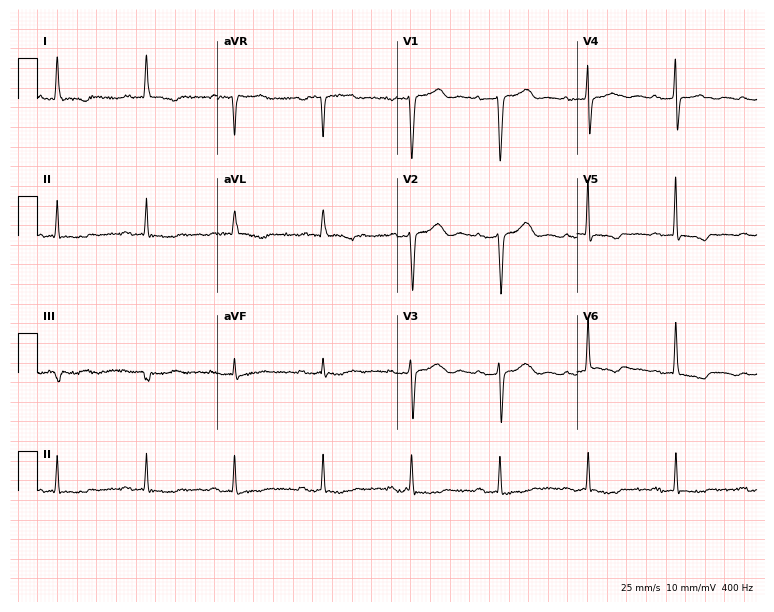
12-lead ECG from a female patient, 54 years old. No first-degree AV block, right bundle branch block (RBBB), left bundle branch block (LBBB), sinus bradycardia, atrial fibrillation (AF) or sinus tachycardia recorded for this tracing.